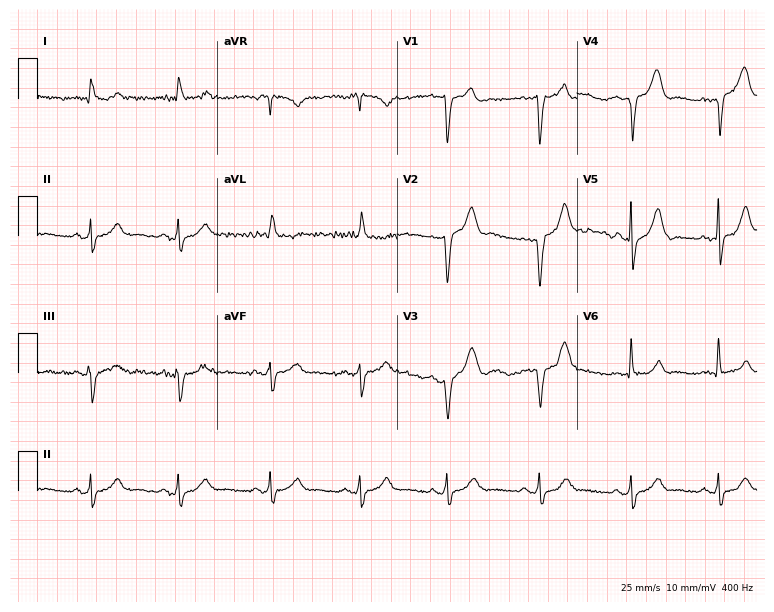
12-lead ECG from a 77-year-old man (7.3-second recording at 400 Hz). No first-degree AV block, right bundle branch block, left bundle branch block, sinus bradycardia, atrial fibrillation or sinus tachycardia recorded for this tracing. Findings outside these six are not listed.